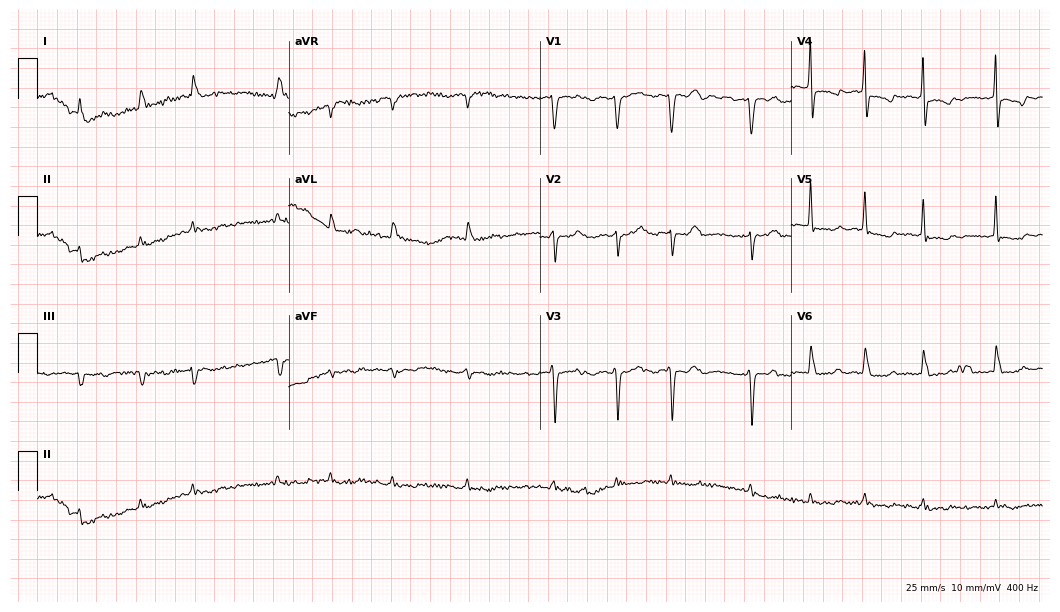
12-lead ECG (10.2-second recording at 400 Hz) from an 84-year-old female patient. Findings include atrial fibrillation.